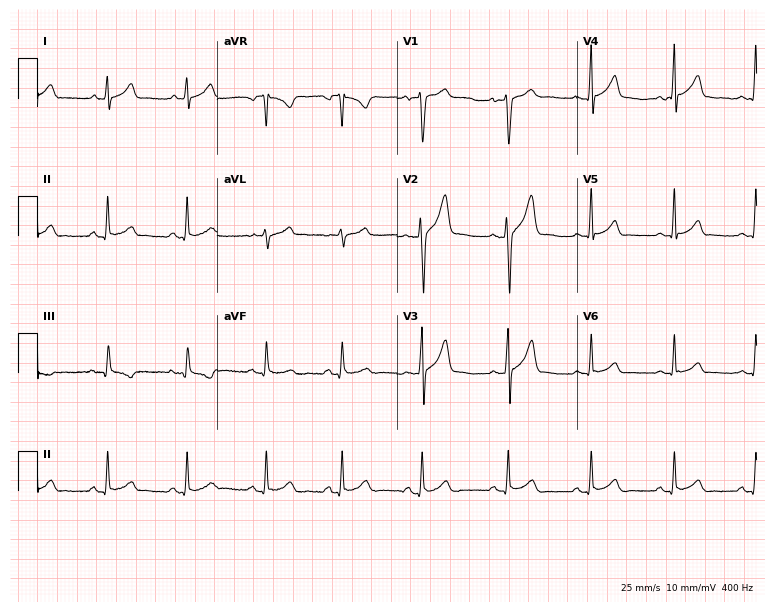
ECG (7.3-second recording at 400 Hz) — a male, 27 years old. Labelled as a normal ECG.